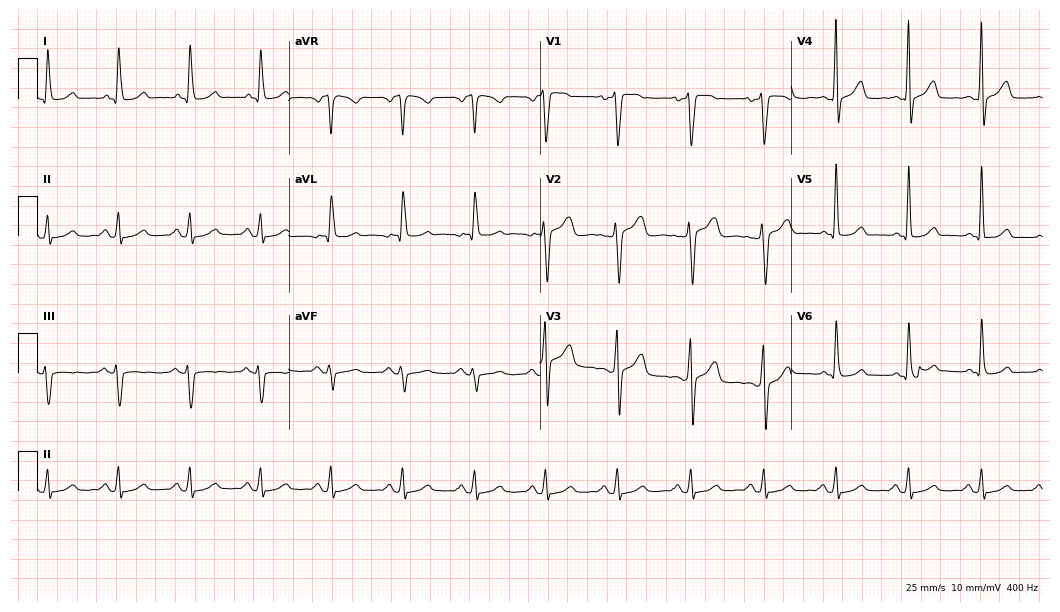
12-lead ECG from a female patient, 58 years old. Screened for six findings — first-degree AV block, right bundle branch block, left bundle branch block, sinus bradycardia, atrial fibrillation, sinus tachycardia — none is recorded.